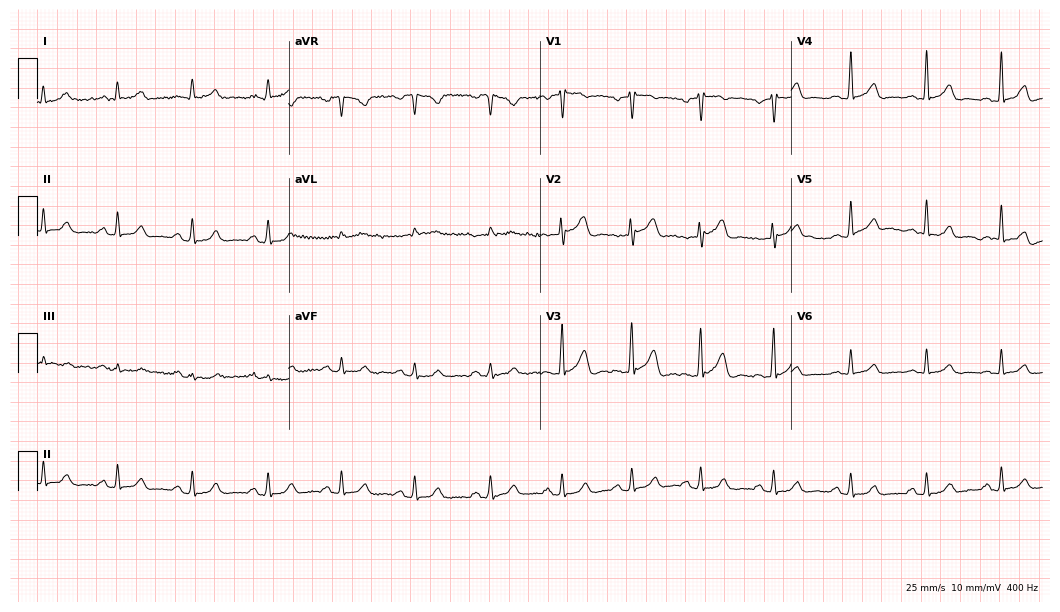
Resting 12-lead electrocardiogram (10.2-second recording at 400 Hz). Patient: a 46-year-old male. Read as a normal ECG.